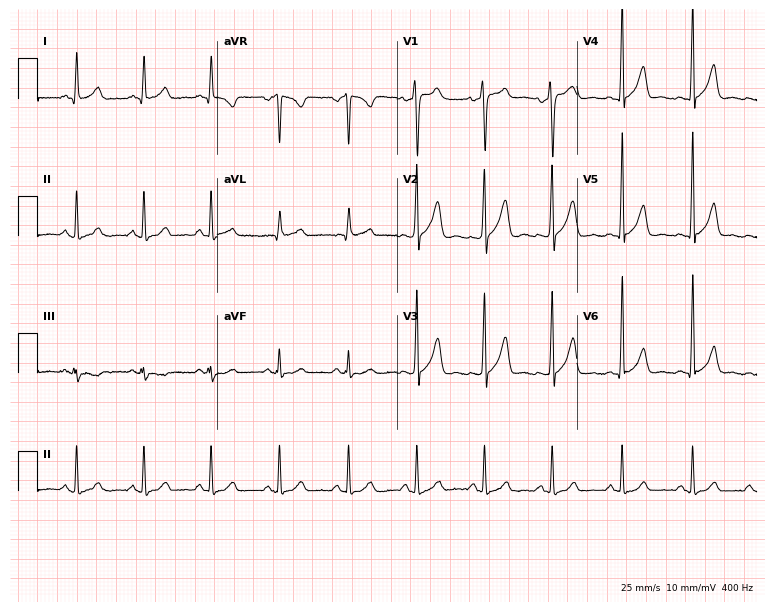
Standard 12-lead ECG recorded from a 42-year-old male. Read as a normal ECG.